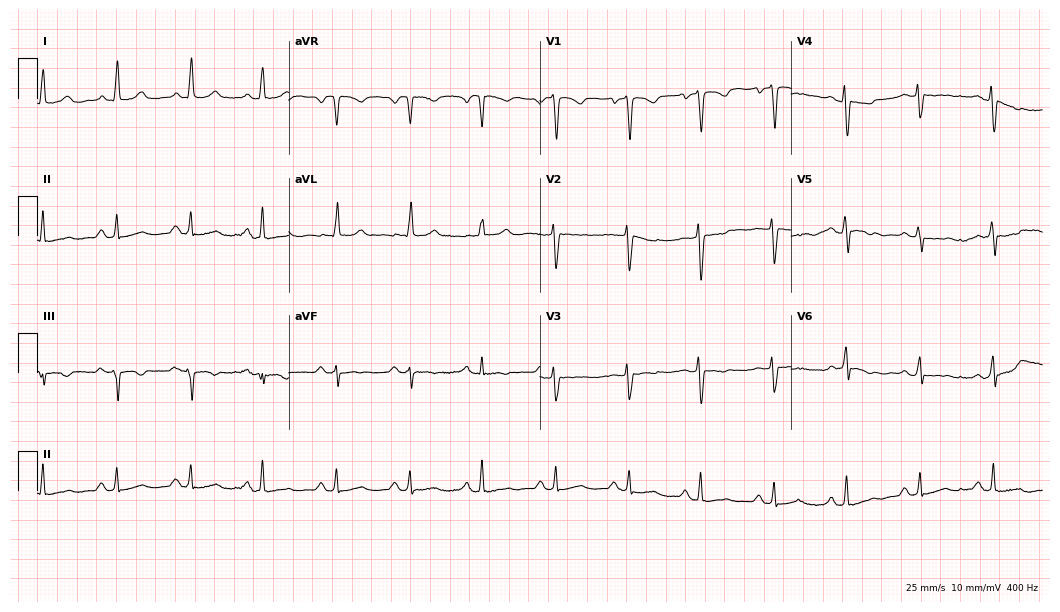
Electrocardiogram, a female patient, 49 years old. Of the six screened findings (first-degree AV block, right bundle branch block (RBBB), left bundle branch block (LBBB), sinus bradycardia, atrial fibrillation (AF), sinus tachycardia), none is recorded. Other findings, if any, are not listed.